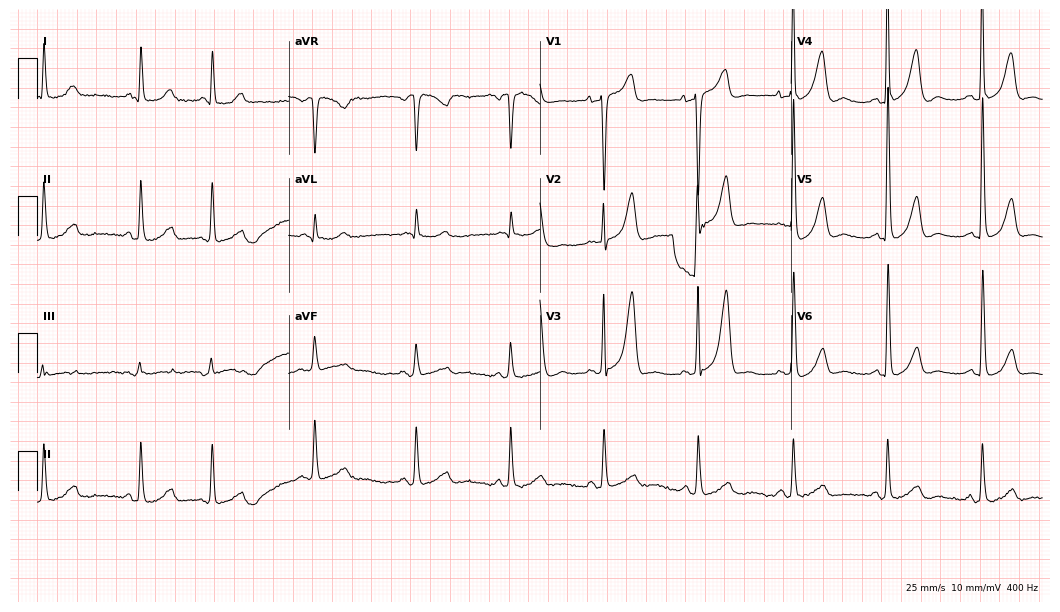
Standard 12-lead ECG recorded from a woman, 74 years old. None of these six findings is recorded: first-degree AV block, right bundle branch block (RBBB), left bundle branch block (LBBB), sinus bradycardia, atrial fibrillation (AF), sinus tachycardia. Findings outside these six are not listed.